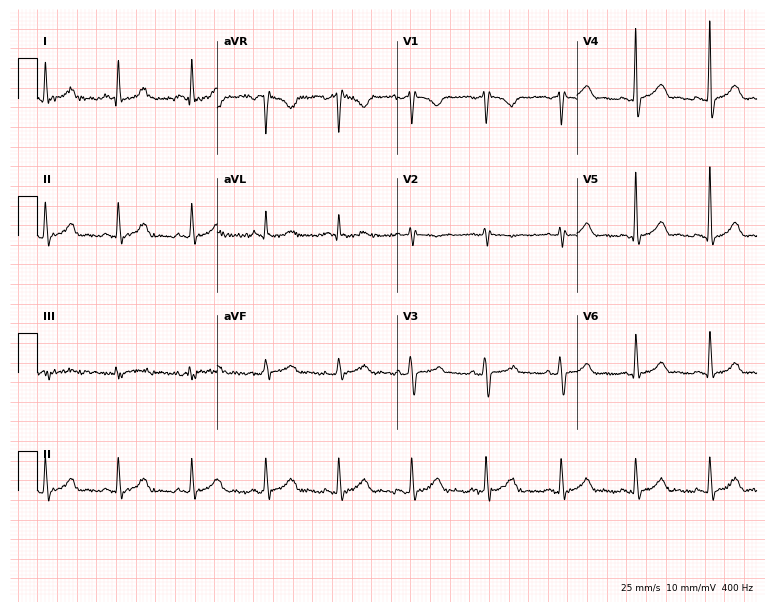
Electrocardiogram, a 55-year-old woman. Of the six screened findings (first-degree AV block, right bundle branch block (RBBB), left bundle branch block (LBBB), sinus bradycardia, atrial fibrillation (AF), sinus tachycardia), none is recorded. Findings outside these six are not listed.